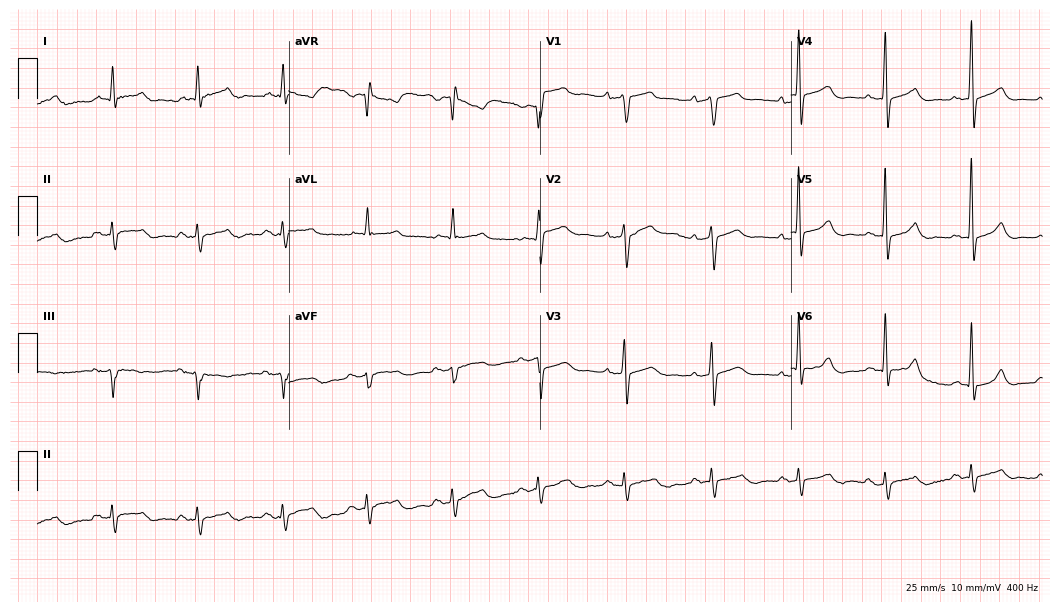
Standard 12-lead ECG recorded from a male, 82 years old (10.2-second recording at 400 Hz). None of these six findings is recorded: first-degree AV block, right bundle branch block, left bundle branch block, sinus bradycardia, atrial fibrillation, sinus tachycardia. Only these six findings were labelled.